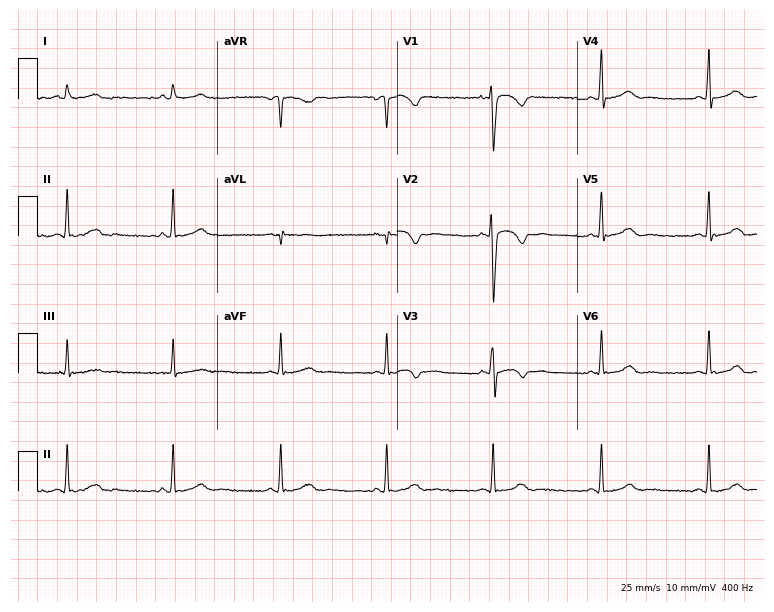
ECG (7.3-second recording at 400 Hz) — a woman, 26 years old. Labelled as a normal ECG.